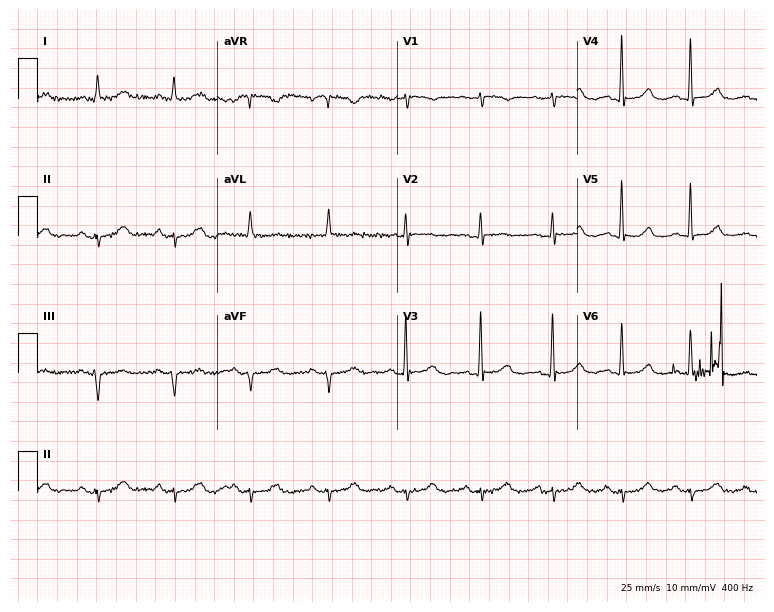
12-lead ECG from an 81-year-old female patient. Screened for six findings — first-degree AV block, right bundle branch block, left bundle branch block, sinus bradycardia, atrial fibrillation, sinus tachycardia — none is recorded.